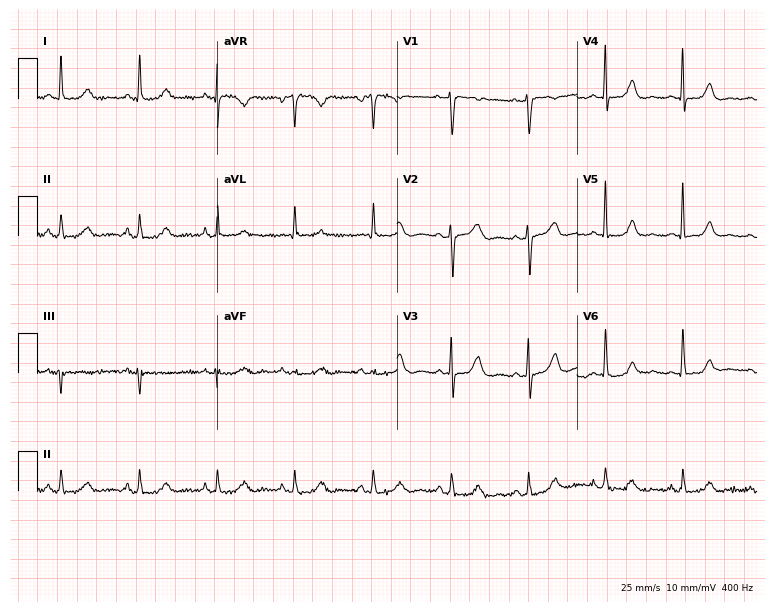
12-lead ECG from a female patient, 57 years old (7.3-second recording at 400 Hz). Recorded interpretation: within normal limits.